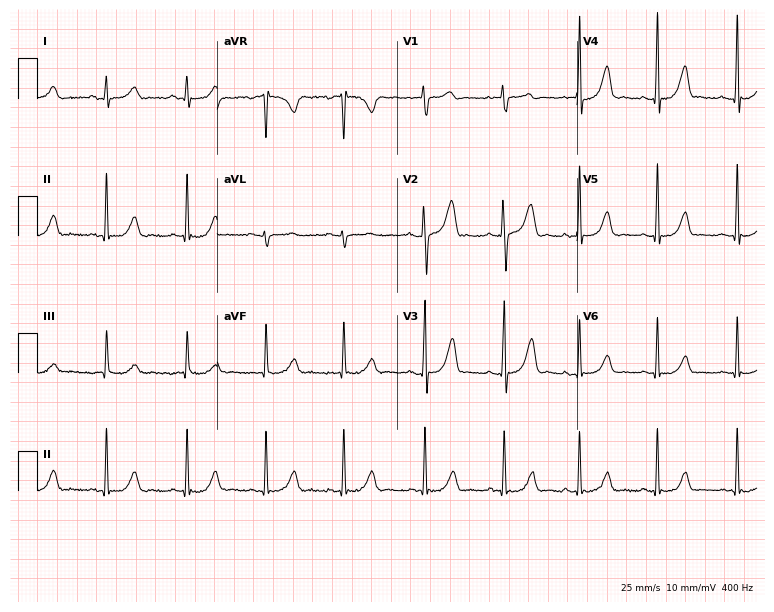
12-lead ECG (7.3-second recording at 400 Hz) from a 22-year-old woman. Labelled as a normal ECG.